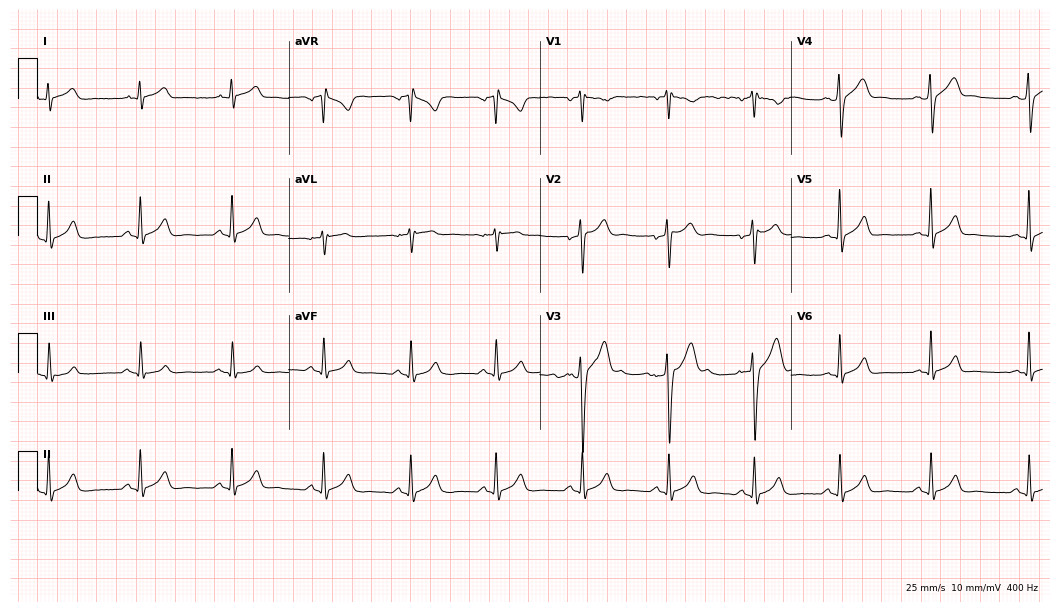
12-lead ECG from a man, 24 years old (10.2-second recording at 400 Hz). Recorded interpretation: within normal limits.